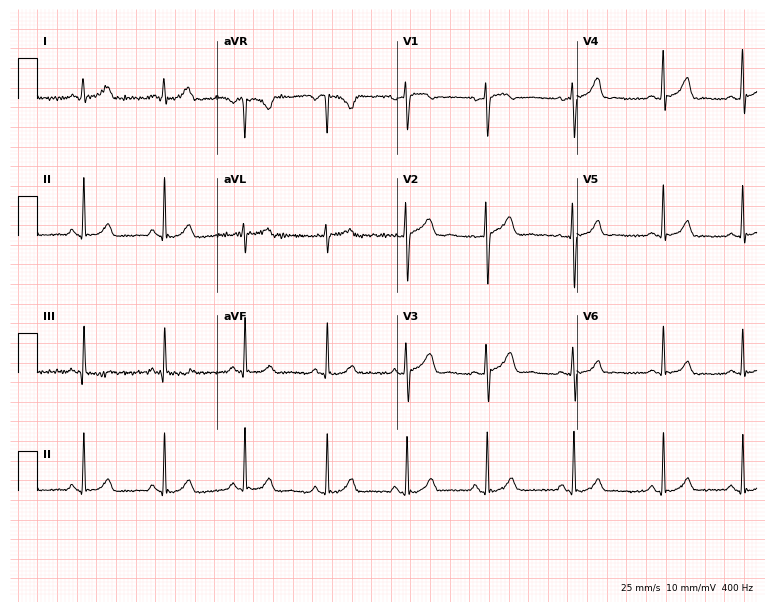
ECG — a 29-year-old female. Screened for six findings — first-degree AV block, right bundle branch block (RBBB), left bundle branch block (LBBB), sinus bradycardia, atrial fibrillation (AF), sinus tachycardia — none is recorded. Only these six findings were labelled.